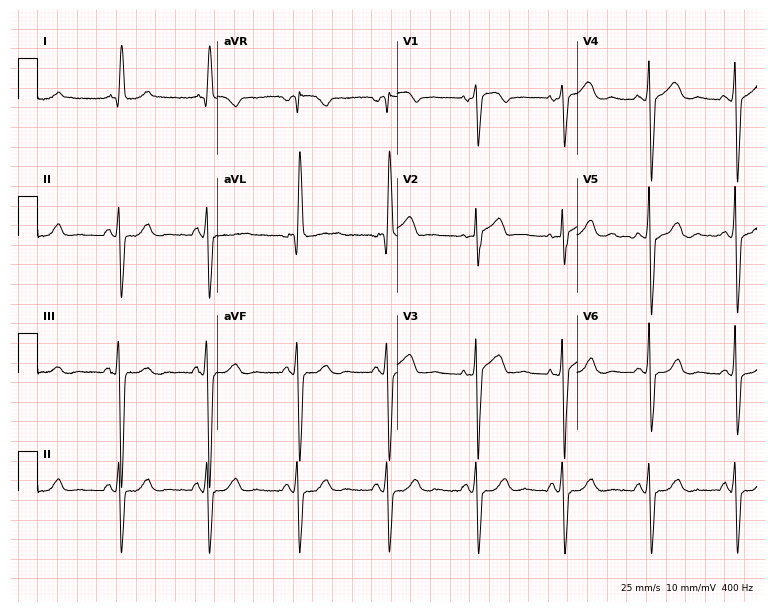
Standard 12-lead ECG recorded from a 70-year-old female patient. None of these six findings is recorded: first-degree AV block, right bundle branch block, left bundle branch block, sinus bradycardia, atrial fibrillation, sinus tachycardia. Other findings, if any, are not listed.